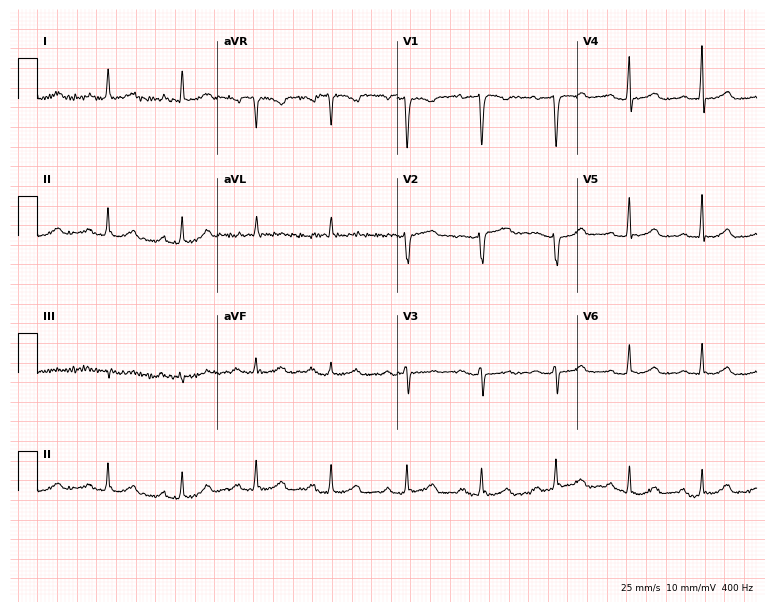
12-lead ECG from a female, 56 years old. Recorded interpretation: within normal limits.